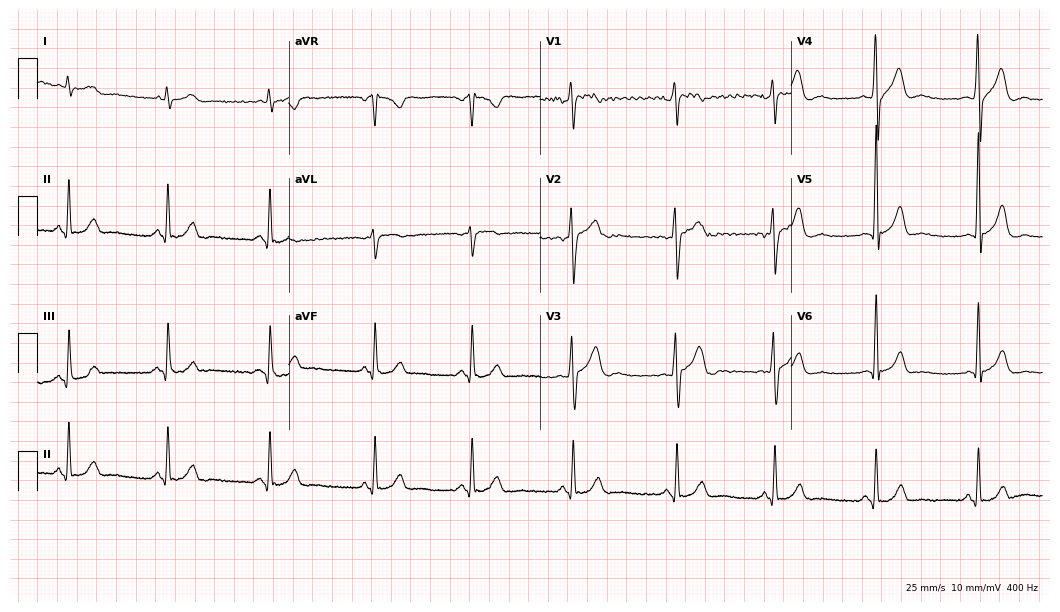
Standard 12-lead ECG recorded from a 29-year-old man (10.2-second recording at 400 Hz). Read as a normal ECG.